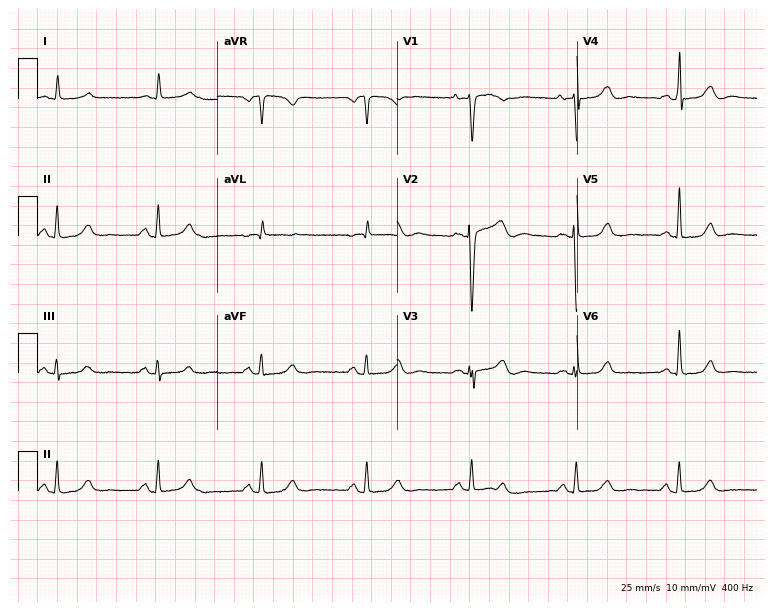
Standard 12-lead ECG recorded from a female, 60 years old (7.3-second recording at 400 Hz). None of these six findings is recorded: first-degree AV block, right bundle branch block, left bundle branch block, sinus bradycardia, atrial fibrillation, sinus tachycardia. Other findings, if any, are not listed.